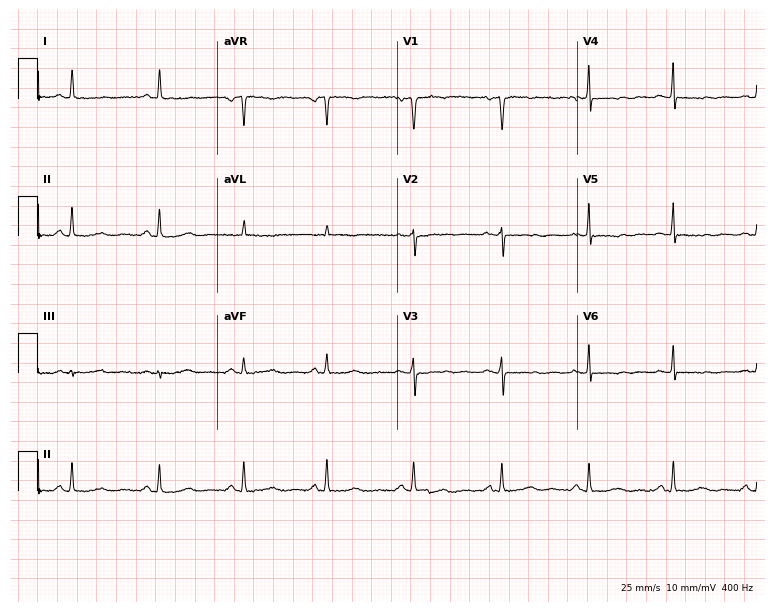
12-lead ECG from a female patient, 49 years old. No first-degree AV block, right bundle branch block, left bundle branch block, sinus bradycardia, atrial fibrillation or sinus tachycardia recorded for this tracing. Other findings, if any, are not listed.